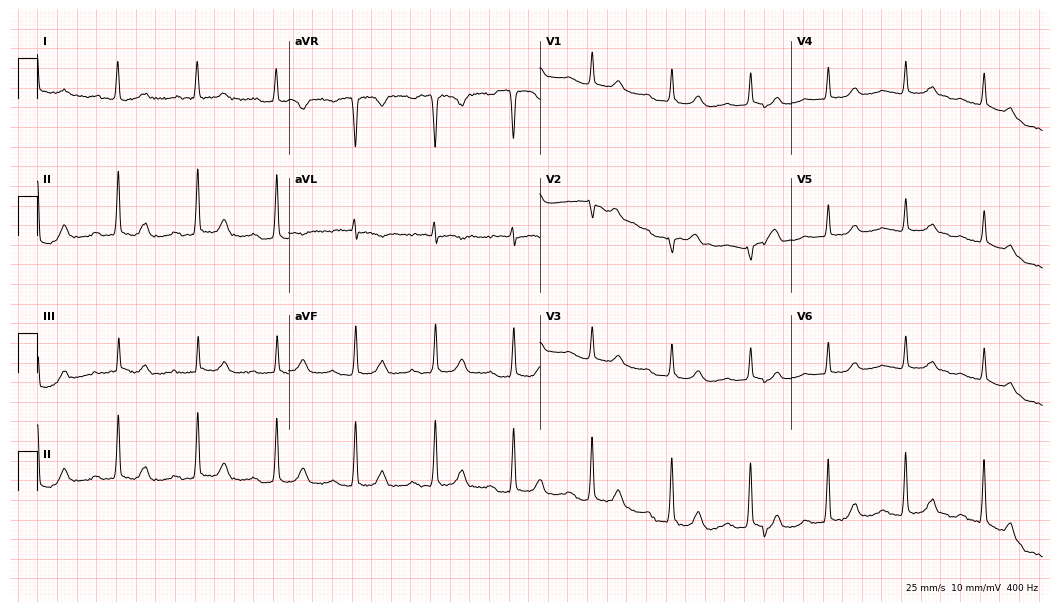
12-lead ECG (10.2-second recording at 400 Hz) from a female patient, 71 years old. Findings include first-degree AV block.